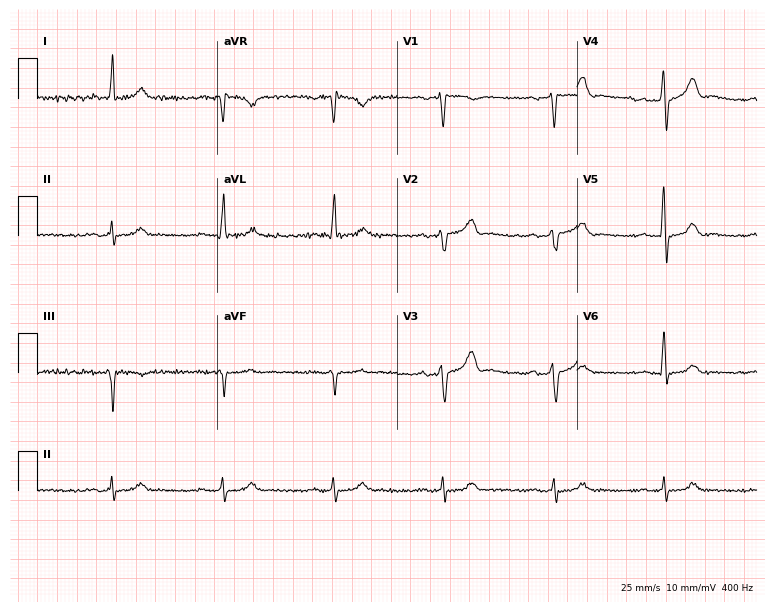
Resting 12-lead electrocardiogram. Patient: a man, 82 years old. Read as a normal ECG.